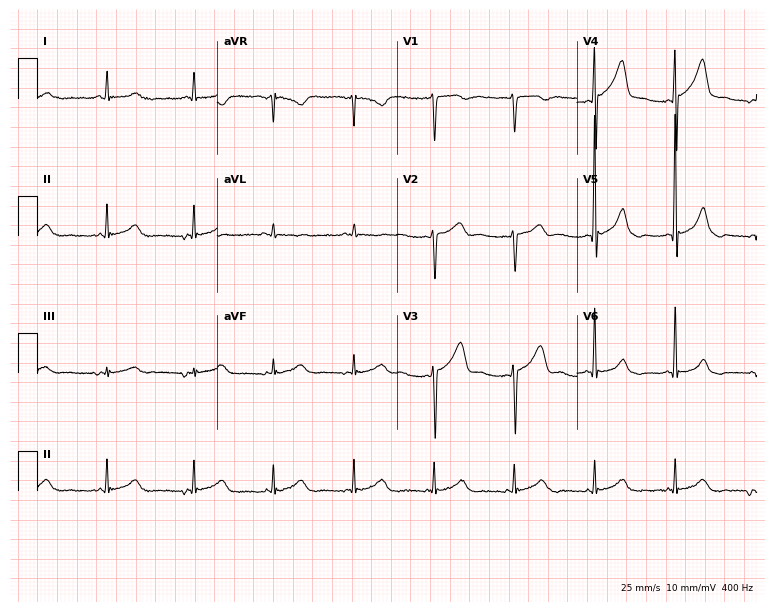
Electrocardiogram (7.3-second recording at 400 Hz), a 66-year-old man. Of the six screened findings (first-degree AV block, right bundle branch block, left bundle branch block, sinus bradycardia, atrial fibrillation, sinus tachycardia), none is recorded.